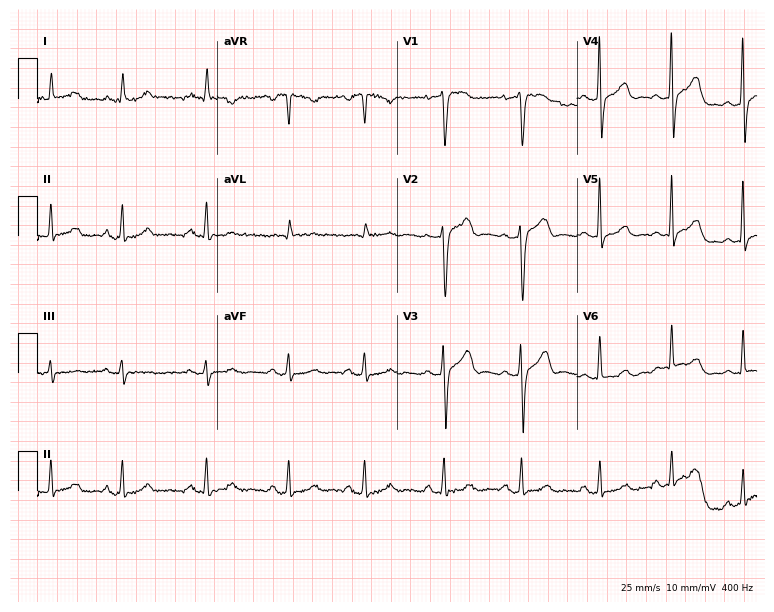
Electrocardiogram, a 67-year-old male. Overall reading on record: normal ECG.